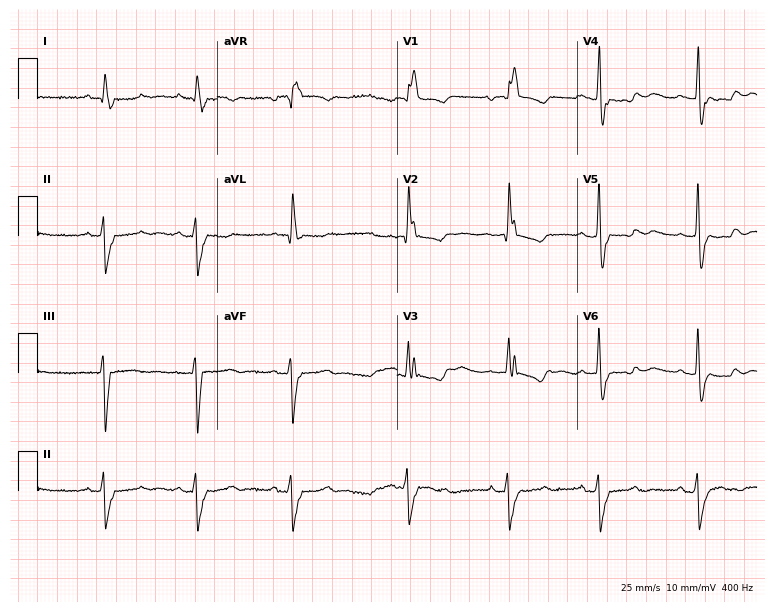
ECG — a 72-year-old woman. Findings include right bundle branch block (RBBB).